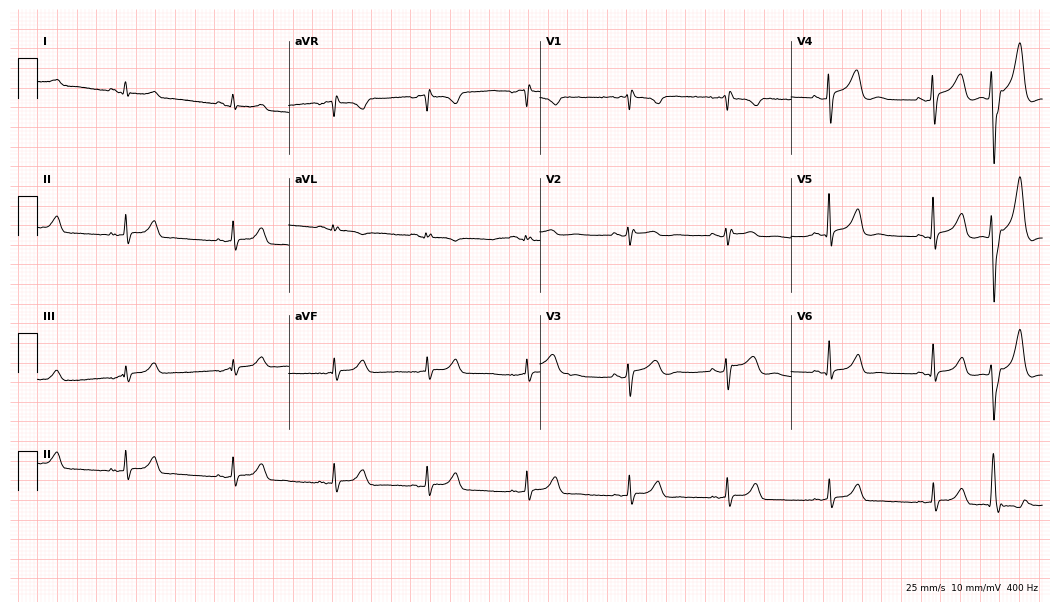
12-lead ECG from a male patient, 19 years old. Screened for six findings — first-degree AV block, right bundle branch block, left bundle branch block, sinus bradycardia, atrial fibrillation, sinus tachycardia — none is recorded. Findings outside these six are not listed.